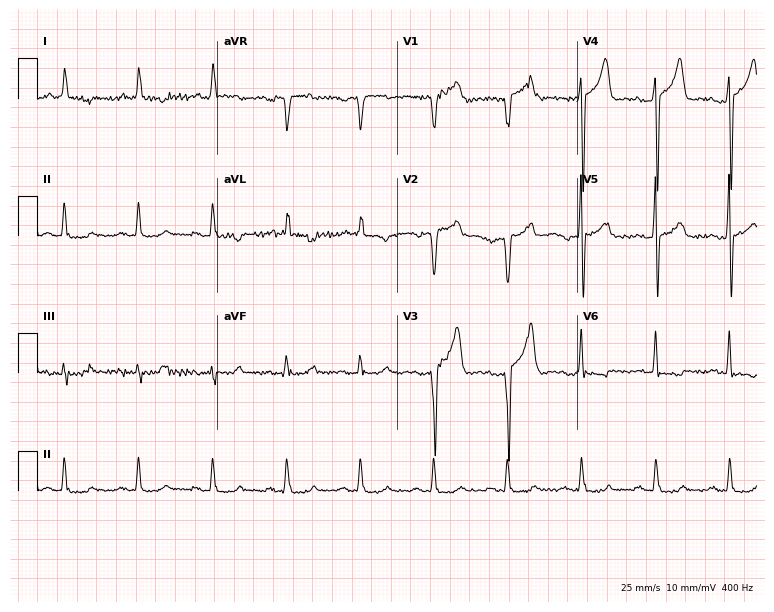
Electrocardiogram (7.3-second recording at 400 Hz), a man, 63 years old. Of the six screened findings (first-degree AV block, right bundle branch block (RBBB), left bundle branch block (LBBB), sinus bradycardia, atrial fibrillation (AF), sinus tachycardia), none is recorded. Findings outside these six are not listed.